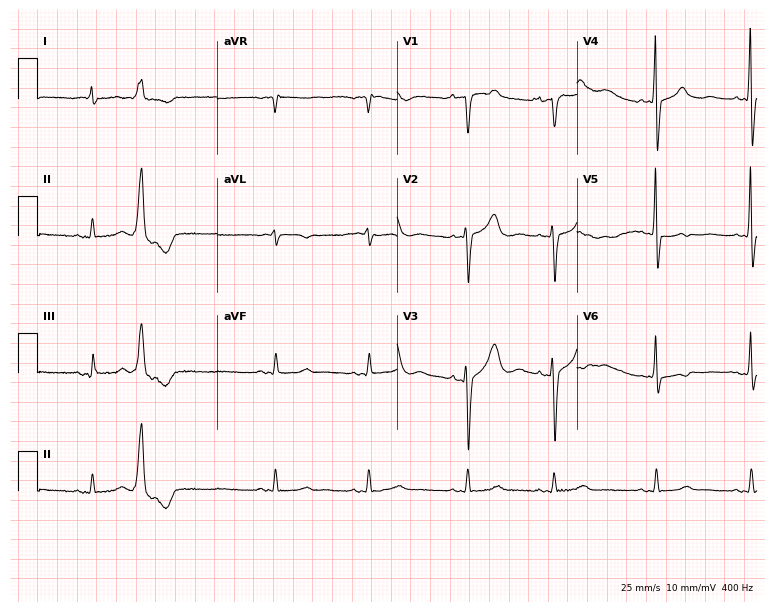
12-lead ECG from an 81-year-old male. Screened for six findings — first-degree AV block, right bundle branch block (RBBB), left bundle branch block (LBBB), sinus bradycardia, atrial fibrillation (AF), sinus tachycardia — none is recorded. Findings outside these six are not listed.